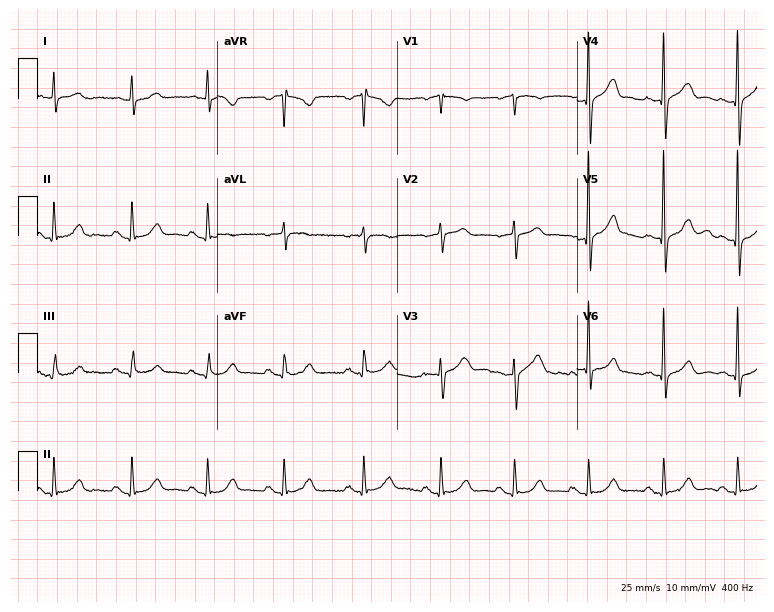
12-lead ECG from a 74-year-old male patient. Recorded interpretation: within normal limits.